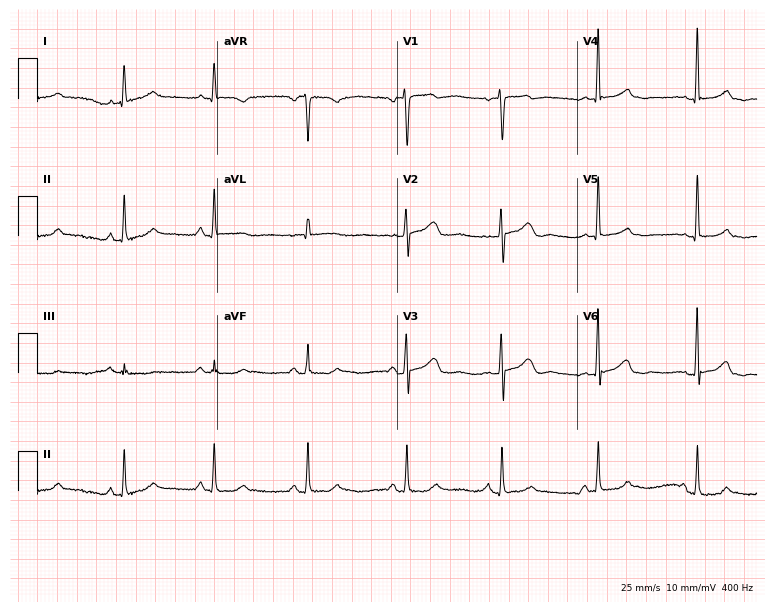
Resting 12-lead electrocardiogram. Patient: a woman, 44 years old. Read as a normal ECG.